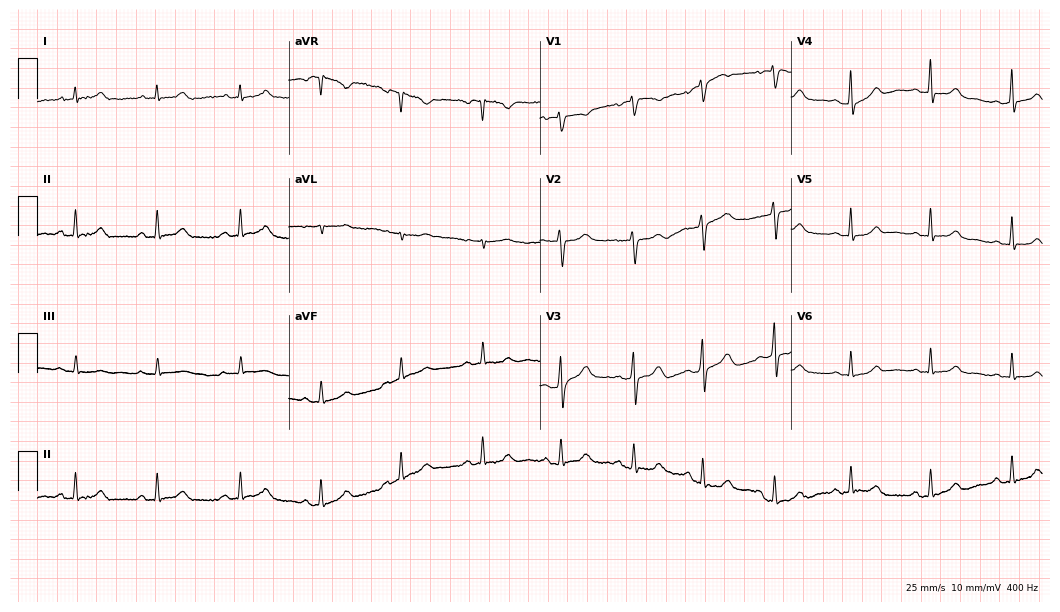
Standard 12-lead ECG recorded from a 38-year-old woman. Read as a normal ECG.